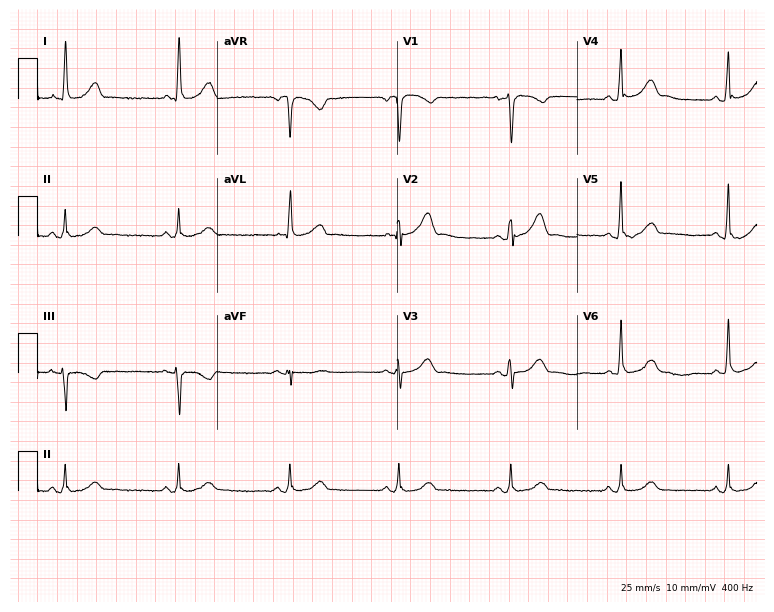
Standard 12-lead ECG recorded from a 48-year-old woman. Read as a normal ECG.